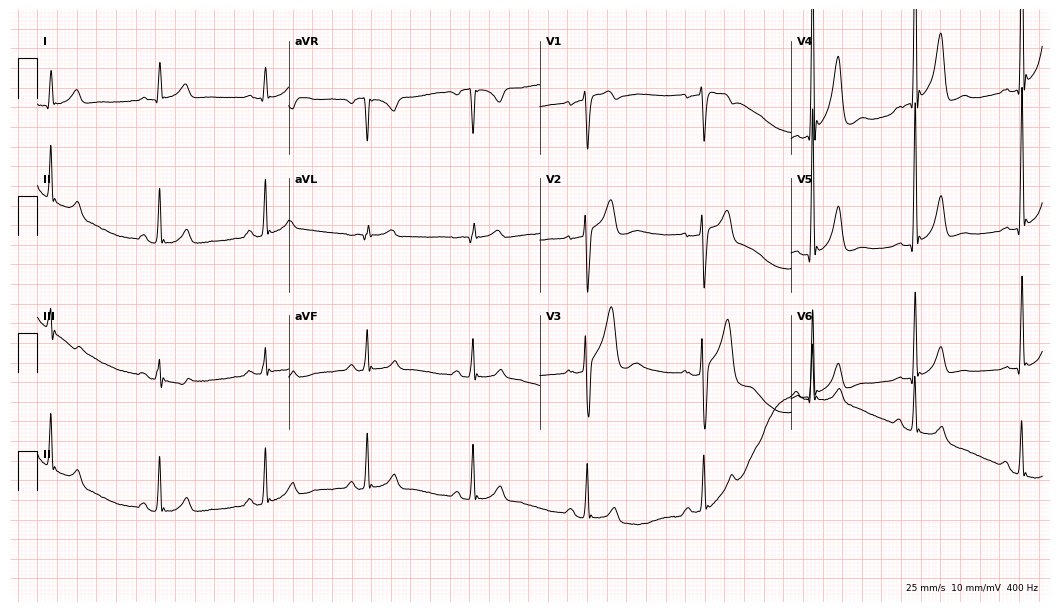
ECG — a 44-year-old man. Screened for six findings — first-degree AV block, right bundle branch block (RBBB), left bundle branch block (LBBB), sinus bradycardia, atrial fibrillation (AF), sinus tachycardia — none is recorded. Findings outside these six are not listed.